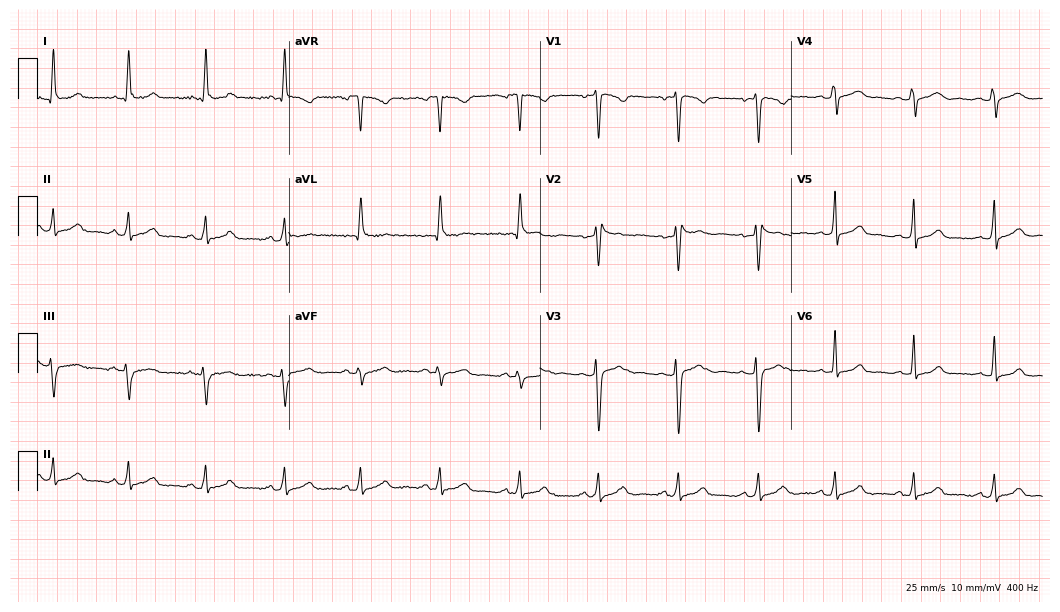
12-lead ECG (10.2-second recording at 400 Hz) from a woman, 31 years old. Labelled as a normal ECG.